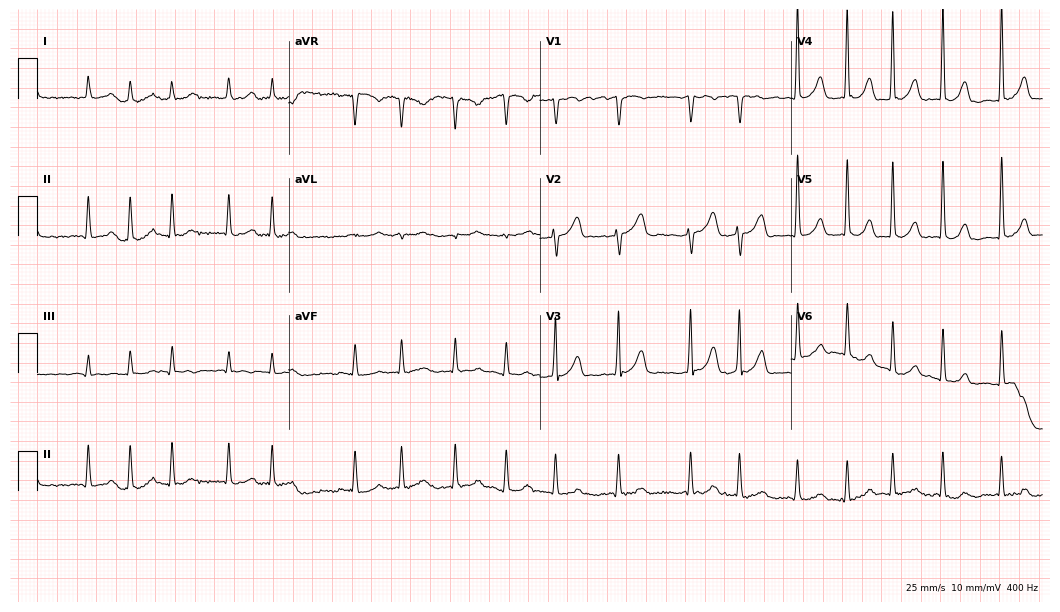
ECG (10.2-second recording at 400 Hz) — a woman, 77 years old. Findings include atrial fibrillation (AF).